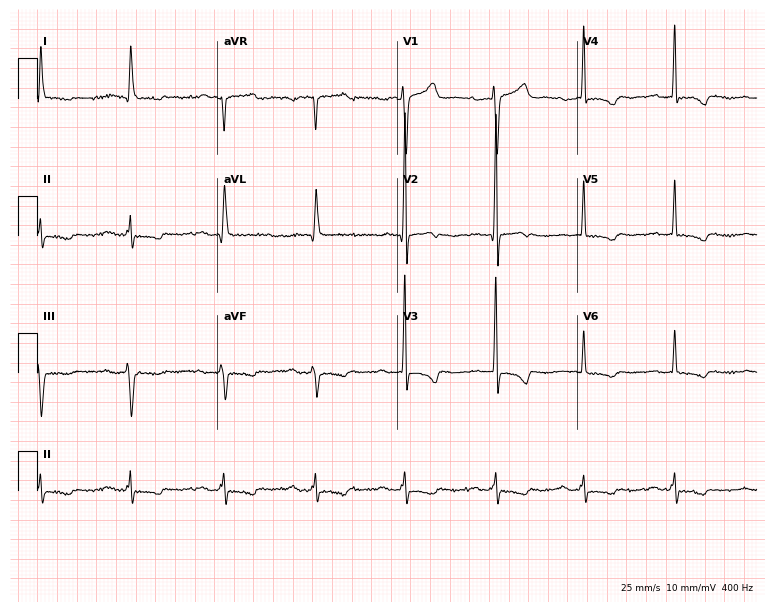
Standard 12-lead ECG recorded from a 71-year-old male (7.3-second recording at 400 Hz). The tracing shows first-degree AV block.